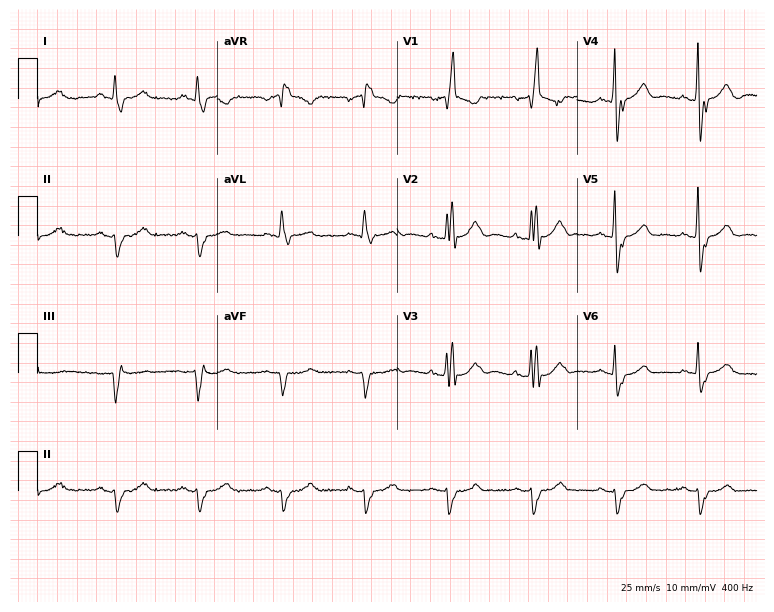
Electrocardiogram (7.3-second recording at 400 Hz), an 81-year-old male patient. Interpretation includes right bundle branch block.